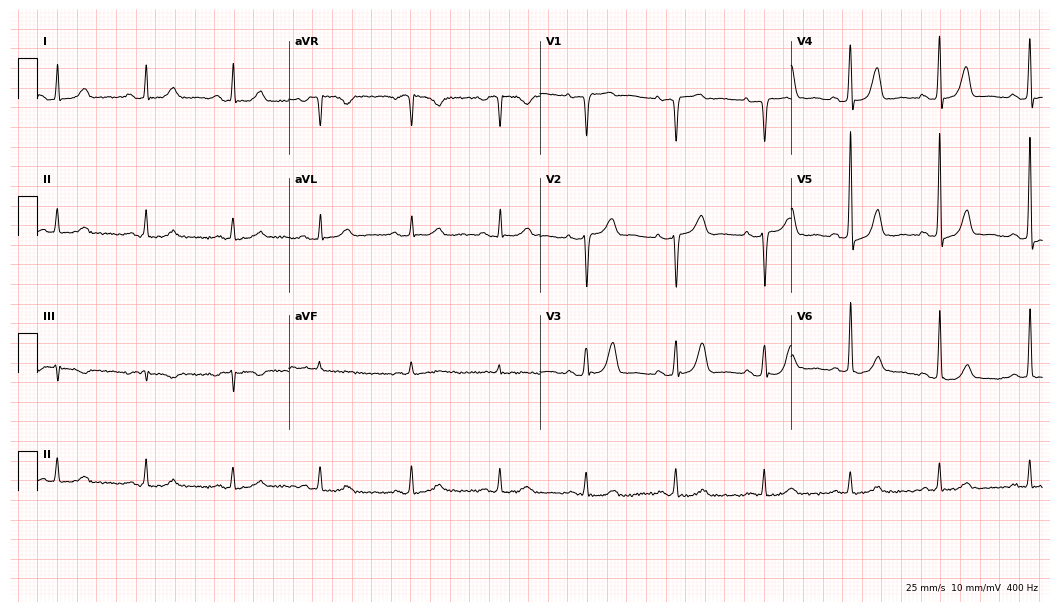
12-lead ECG from an 84-year-old female (10.2-second recording at 400 Hz). No first-degree AV block, right bundle branch block, left bundle branch block, sinus bradycardia, atrial fibrillation or sinus tachycardia recorded for this tracing. Other findings, if any, are not listed.